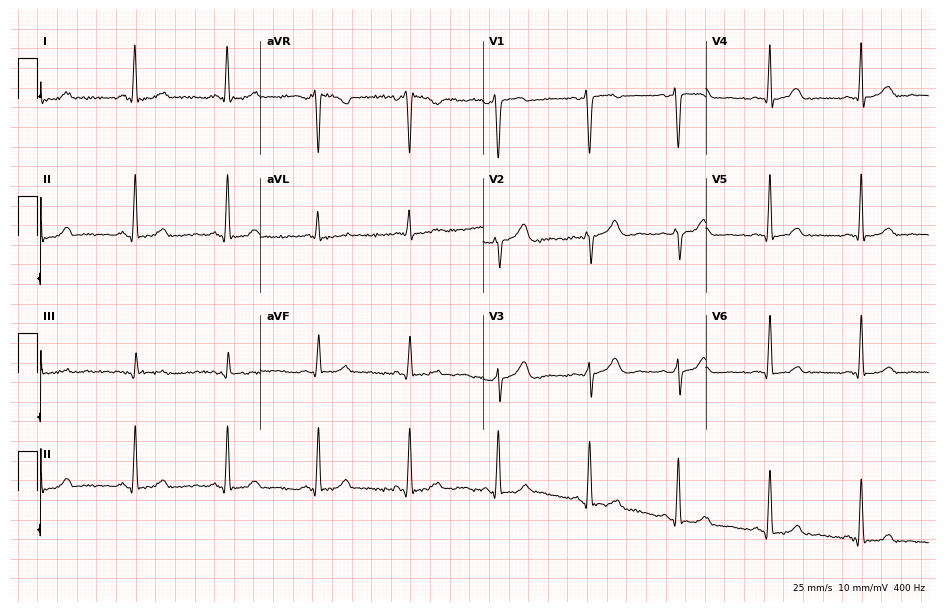
ECG — a 44-year-old woman. Labelled as a normal ECG.